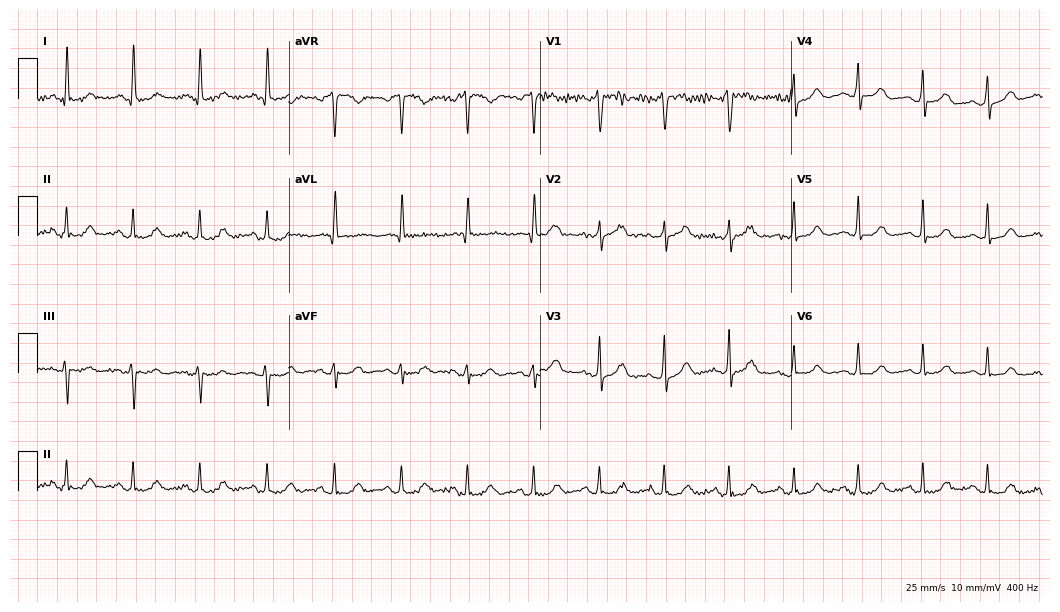
12-lead ECG from a 63-year-old woman. Labelled as a normal ECG.